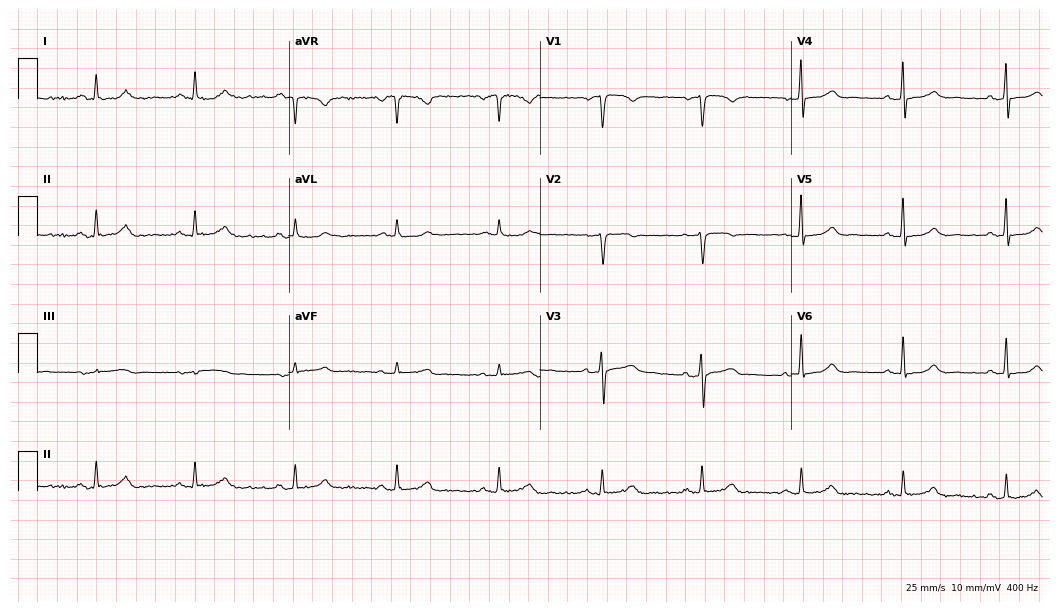
Resting 12-lead electrocardiogram. Patient: a male, 60 years old. Read as a normal ECG.